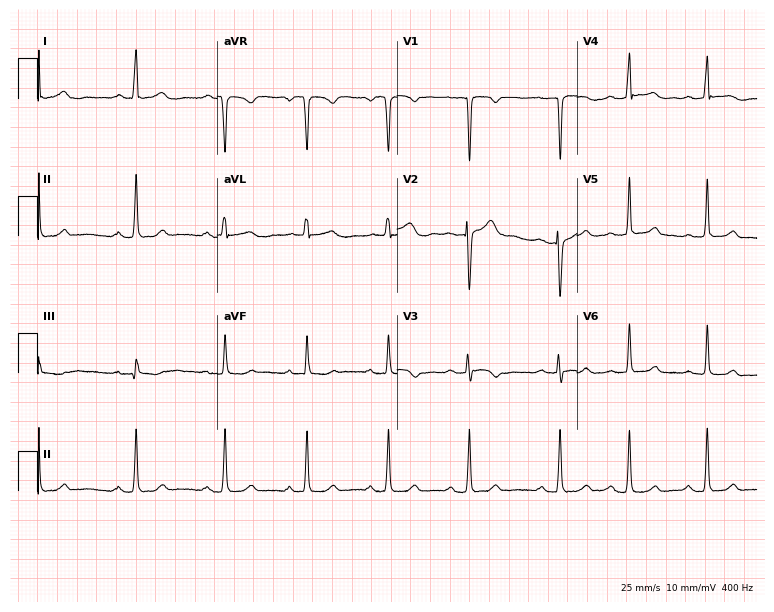
Resting 12-lead electrocardiogram (7.3-second recording at 400 Hz). Patient: a 22-year-old female. Read as a normal ECG.